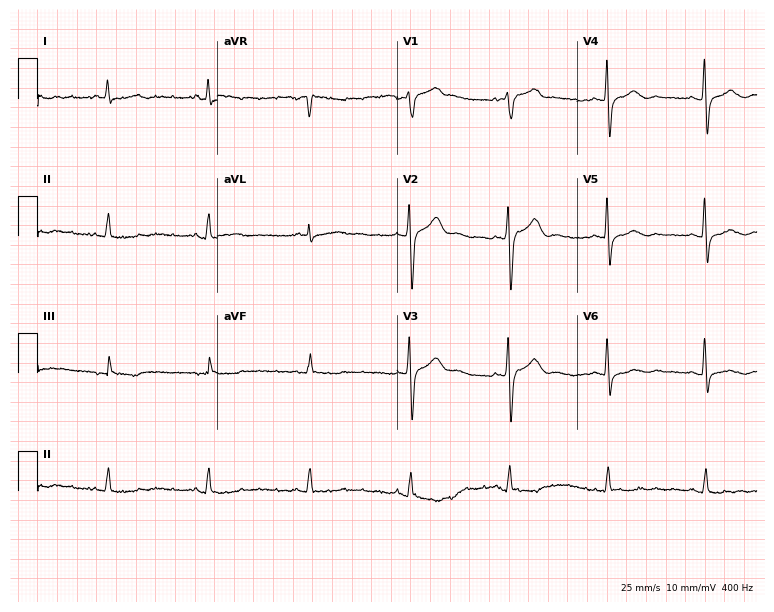
12-lead ECG (7.3-second recording at 400 Hz) from a 71-year-old man. Screened for six findings — first-degree AV block, right bundle branch block, left bundle branch block, sinus bradycardia, atrial fibrillation, sinus tachycardia — none is recorded.